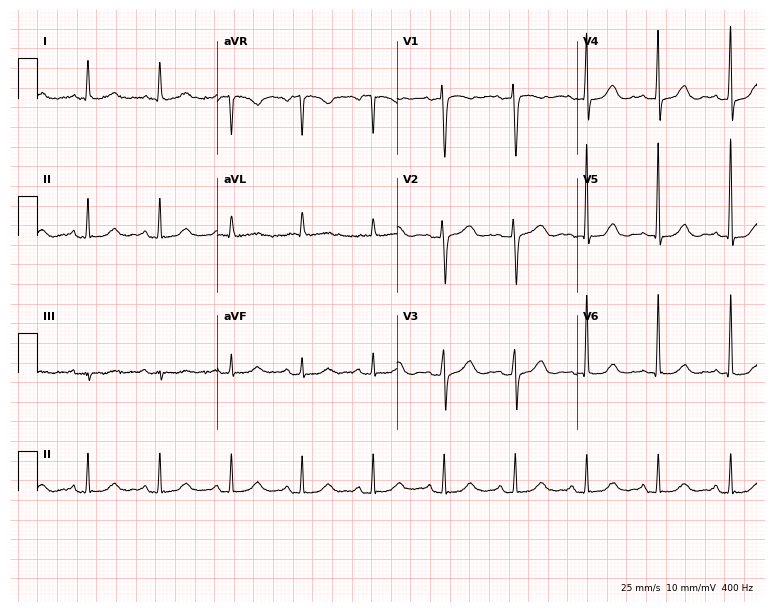
ECG (7.3-second recording at 400 Hz) — a female, 83 years old. Screened for six findings — first-degree AV block, right bundle branch block (RBBB), left bundle branch block (LBBB), sinus bradycardia, atrial fibrillation (AF), sinus tachycardia — none is recorded. Only these six findings were labelled.